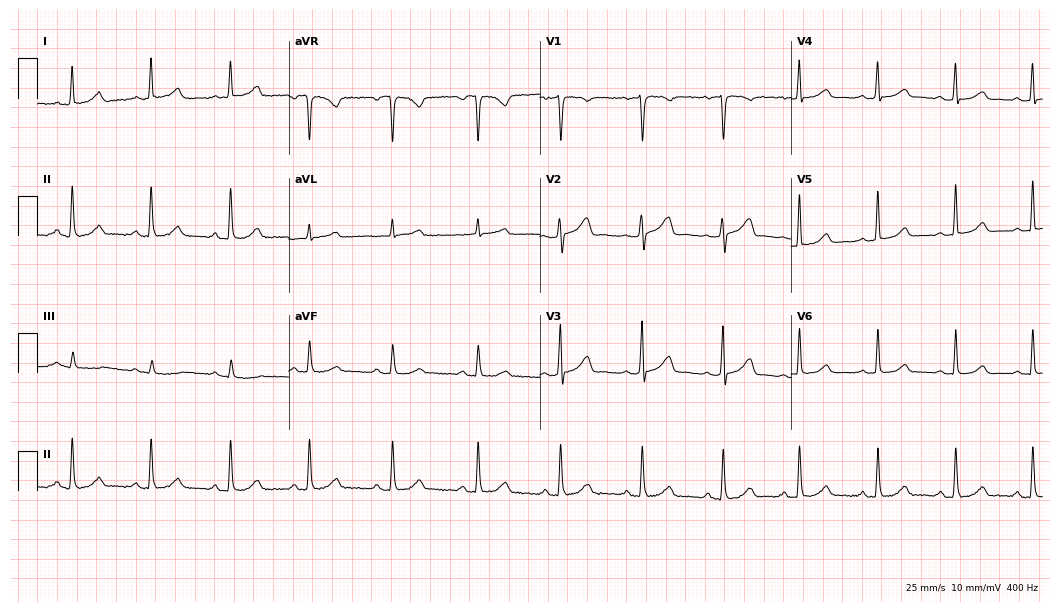
Resting 12-lead electrocardiogram. Patient: a woman, 48 years old. Read as a normal ECG.